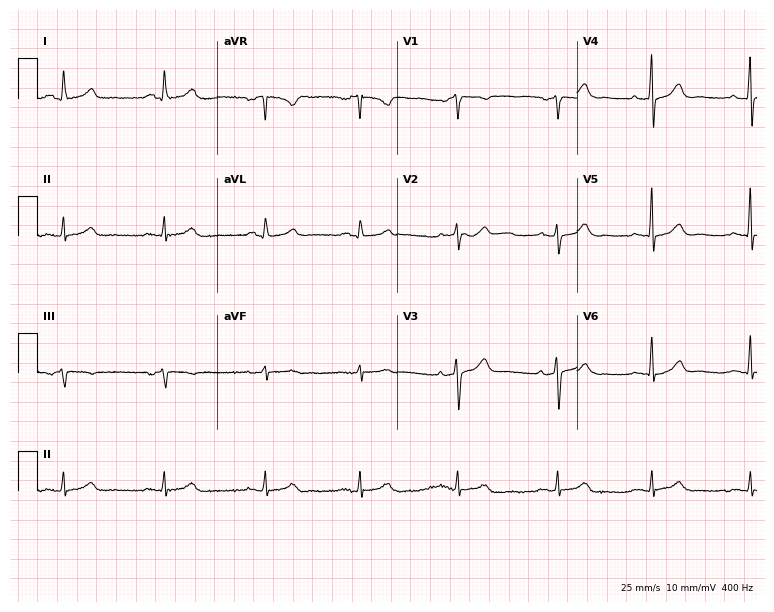
Resting 12-lead electrocardiogram. Patient: a 59-year-old female. Read as a normal ECG.